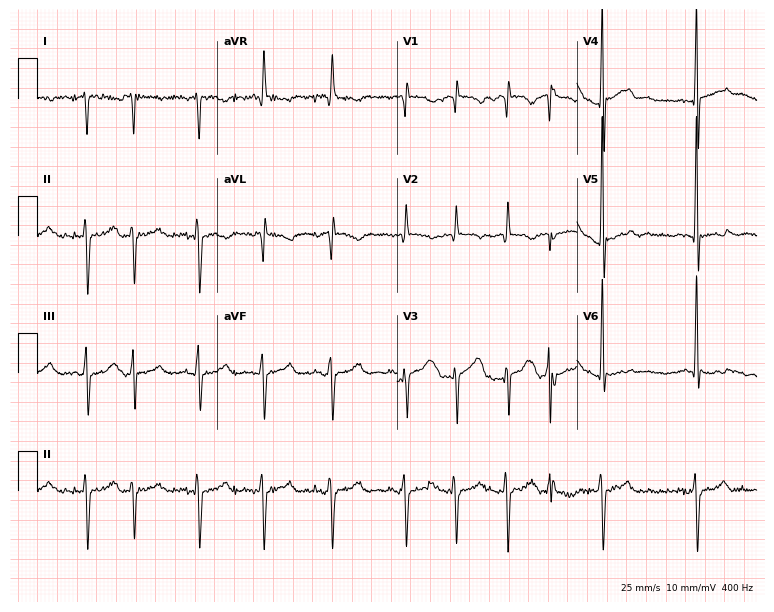
Standard 12-lead ECG recorded from a 73-year-old man. None of these six findings is recorded: first-degree AV block, right bundle branch block, left bundle branch block, sinus bradycardia, atrial fibrillation, sinus tachycardia.